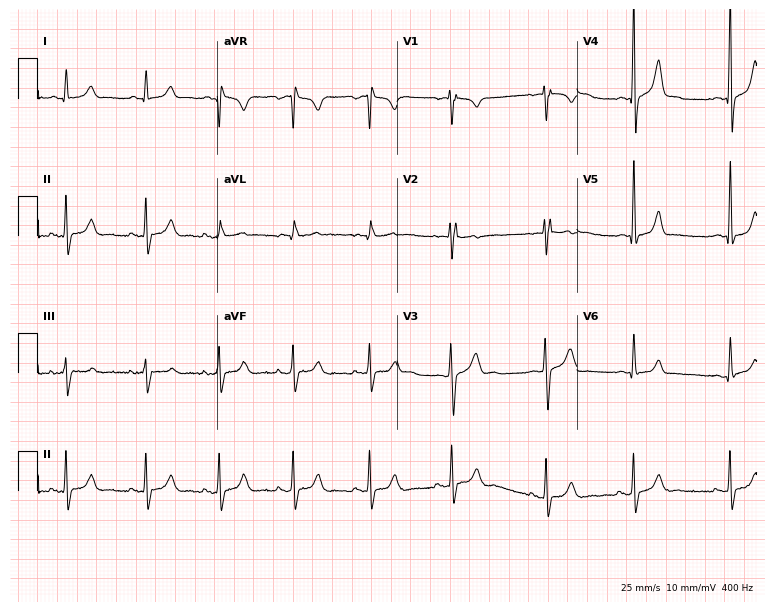
Standard 12-lead ECG recorded from a 21-year-old man. None of these six findings is recorded: first-degree AV block, right bundle branch block (RBBB), left bundle branch block (LBBB), sinus bradycardia, atrial fibrillation (AF), sinus tachycardia. Findings outside these six are not listed.